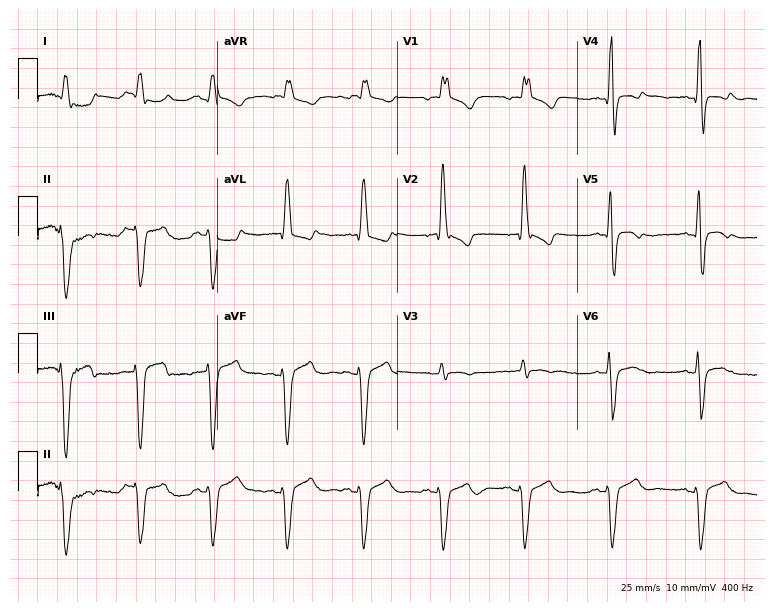
Resting 12-lead electrocardiogram (7.3-second recording at 400 Hz). Patient: a male, 45 years old. None of these six findings is recorded: first-degree AV block, right bundle branch block, left bundle branch block, sinus bradycardia, atrial fibrillation, sinus tachycardia. Findings outside these six are not listed.